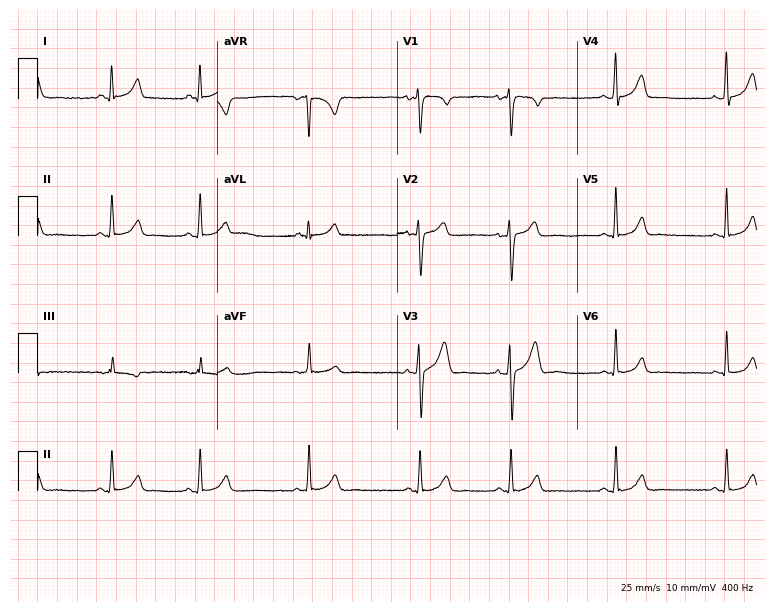
ECG (7.3-second recording at 400 Hz) — a female, 38 years old. Screened for six findings — first-degree AV block, right bundle branch block, left bundle branch block, sinus bradycardia, atrial fibrillation, sinus tachycardia — none is recorded.